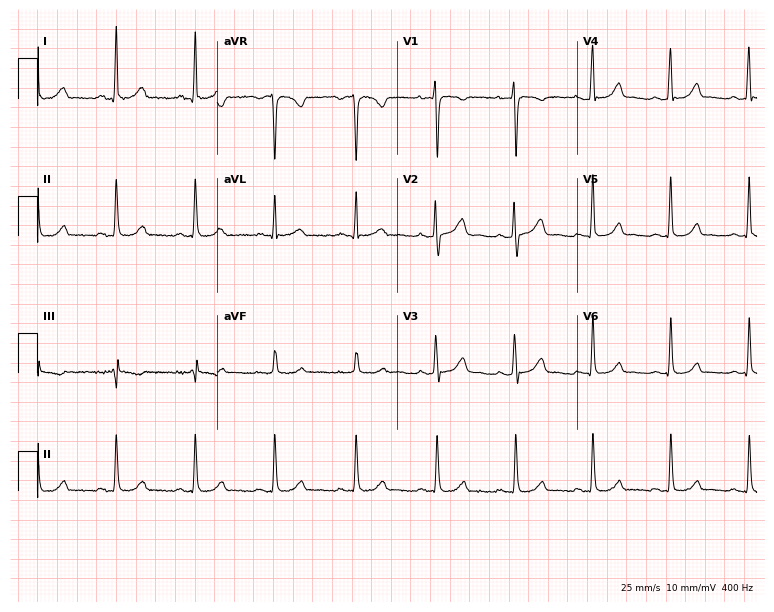
Standard 12-lead ECG recorded from a female patient, 34 years old. Read as a normal ECG.